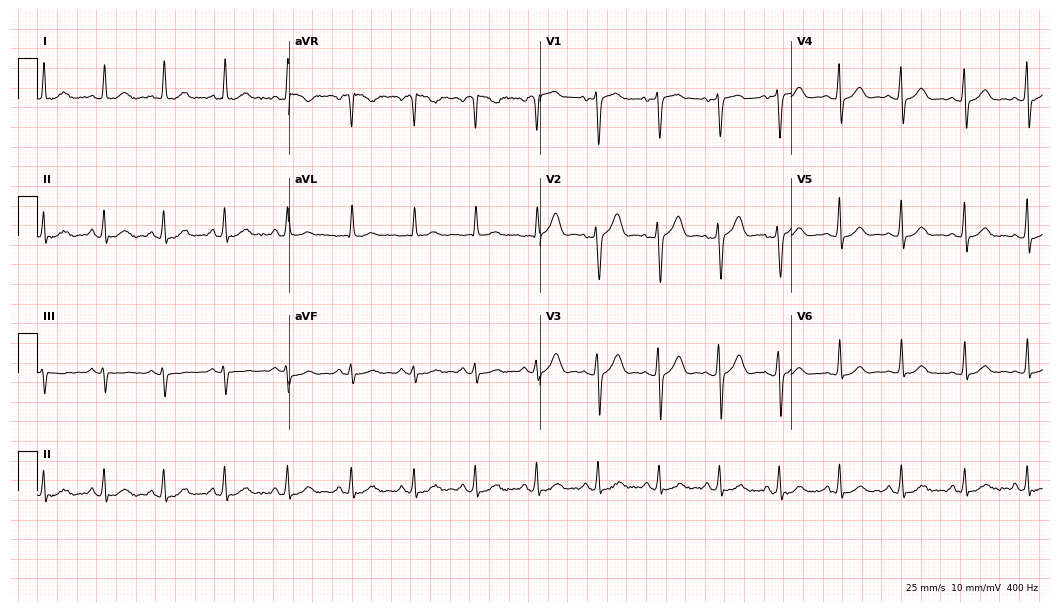
12-lead ECG from a 44-year-old female patient (10.2-second recording at 400 Hz). Recorded interpretation: within normal limits.